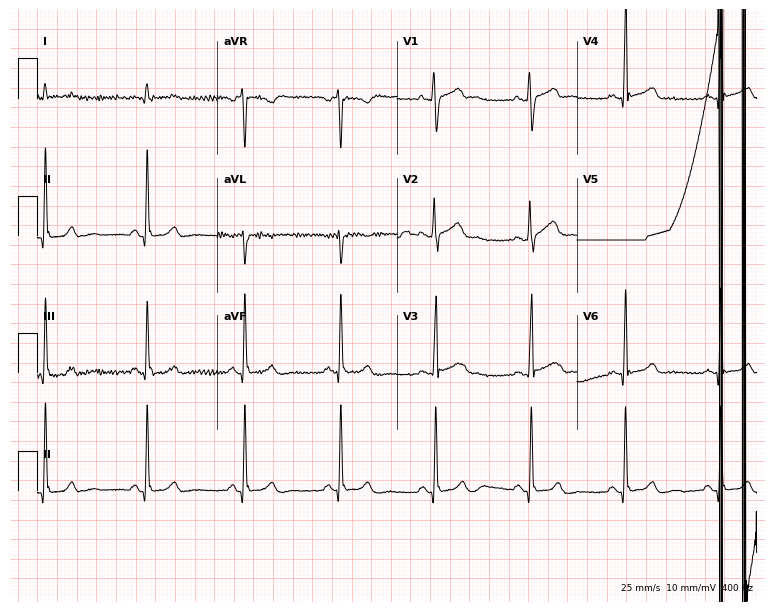
12-lead ECG from a male patient, 29 years old. Labelled as a normal ECG.